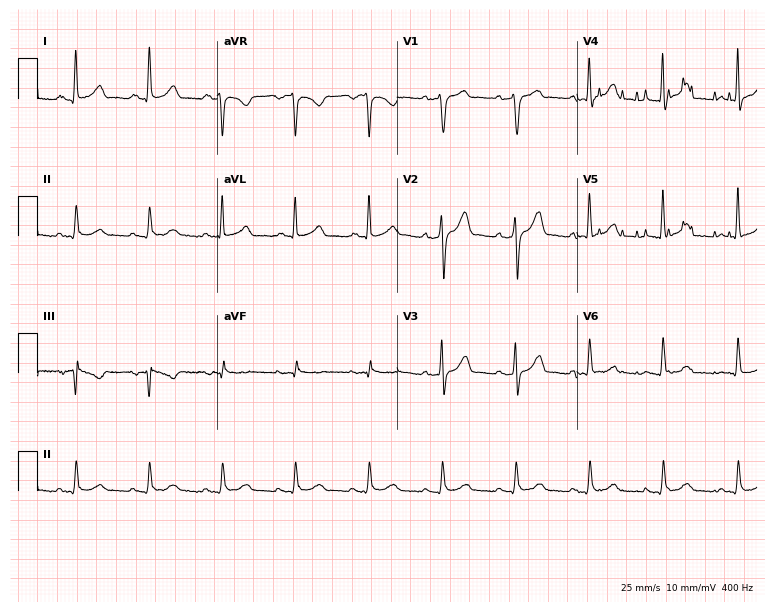
Electrocardiogram (7.3-second recording at 400 Hz), a man, 48 years old. Overall reading on record: normal ECG.